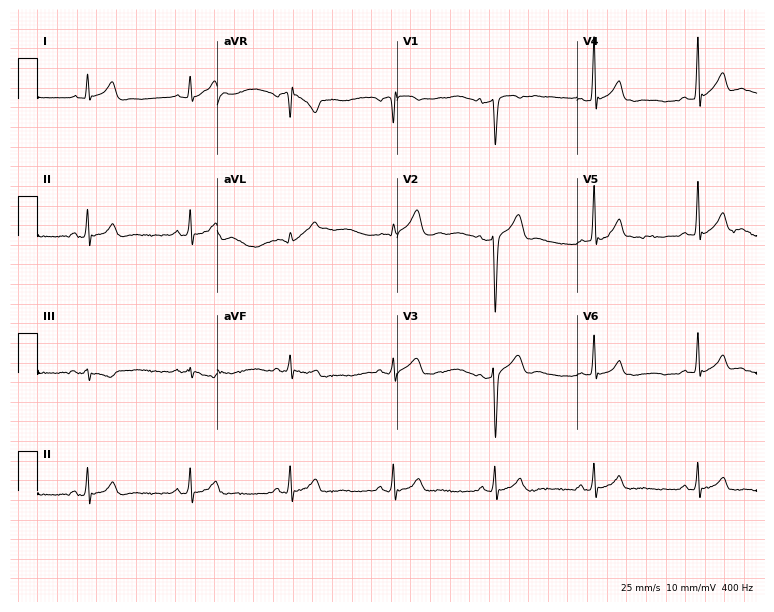
12-lead ECG (7.3-second recording at 400 Hz) from a male, 24 years old. Screened for six findings — first-degree AV block, right bundle branch block, left bundle branch block, sinus bradycardia, atrial fibrillation, sinus tachycardia — none is recorded. Only these six findings were labelled.